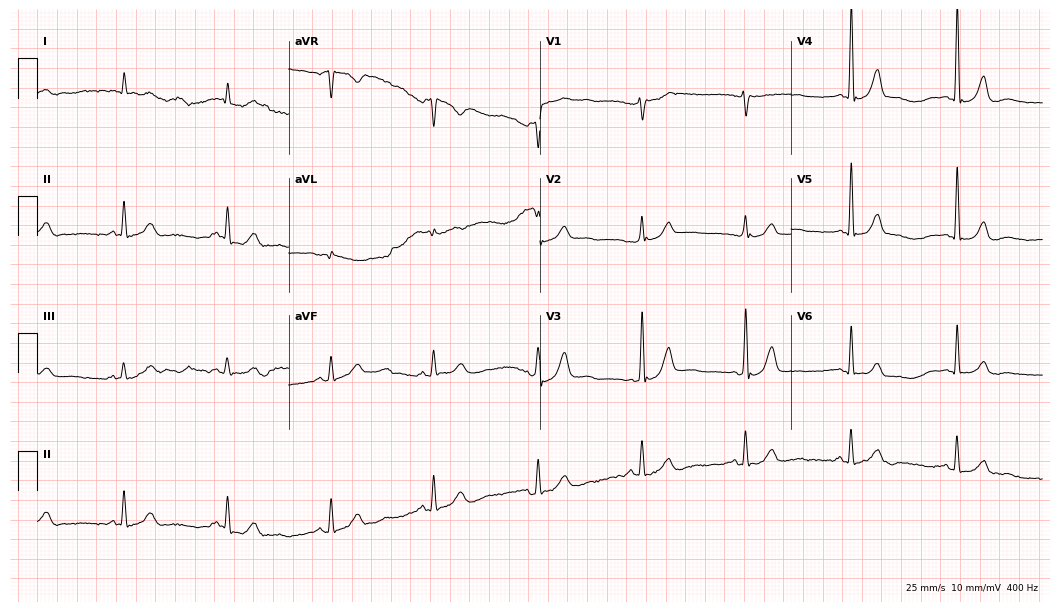
Standard 12-lead ECG recorded from a male, 66 years old (10.2-second recording at 400 Hz). Read as a normal ECG.